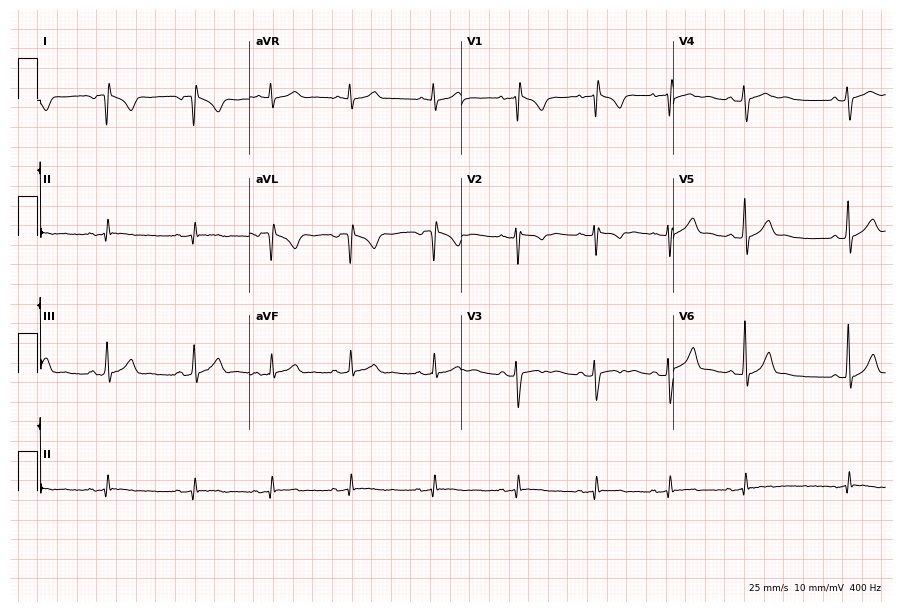
ECG (8.6-second recording at 400 Hz) — a 24-year-old woman. Screened for six findings — first-degree AV block, right bundle branch block, left bundle branch block, sinus bradycardia, atrial fibrillation, sinus tachycardia — none is recorded.